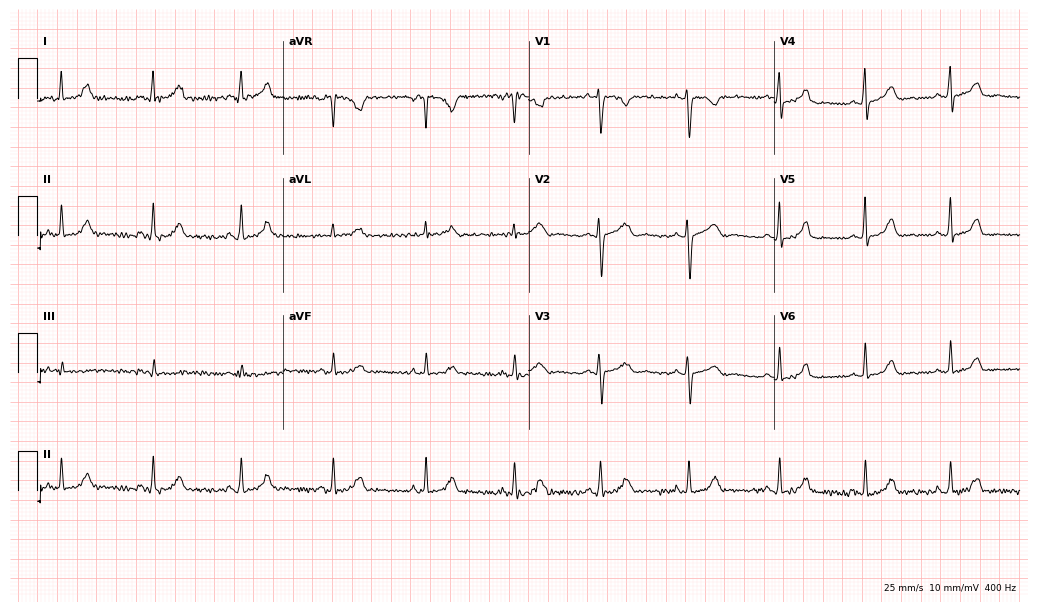
Resting 12-lead electrocardiogram. Patient: a 28-year-old female. None of these six findings is recorded: first-degree AV block, right bundle branch block (RBBB), left bundle branch block (LBBB), sinus bradycardia, atrial fibrillation (AF), sinus tachycardia. Other findings, if any, are not listed.